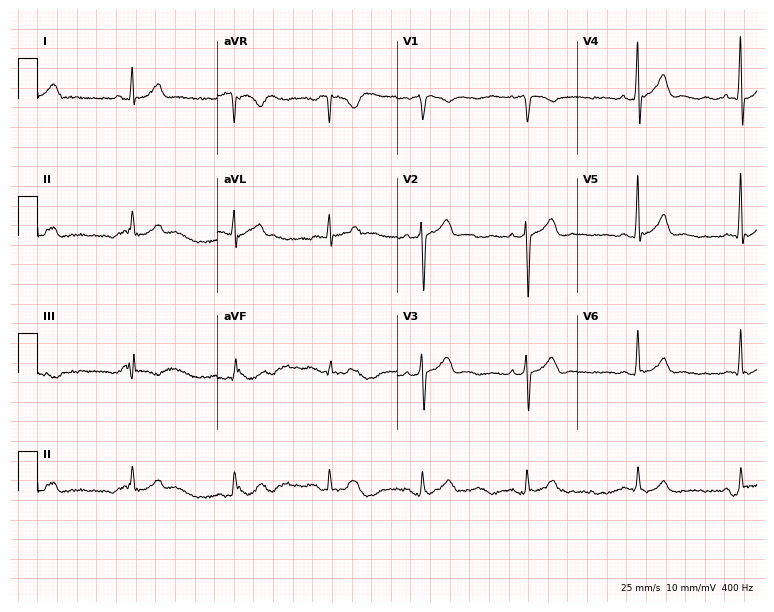
12-lead ECG from a male patient, 47 years old (7.3-second recording at 400 Hz). Recorded interpretation: within normal limits.